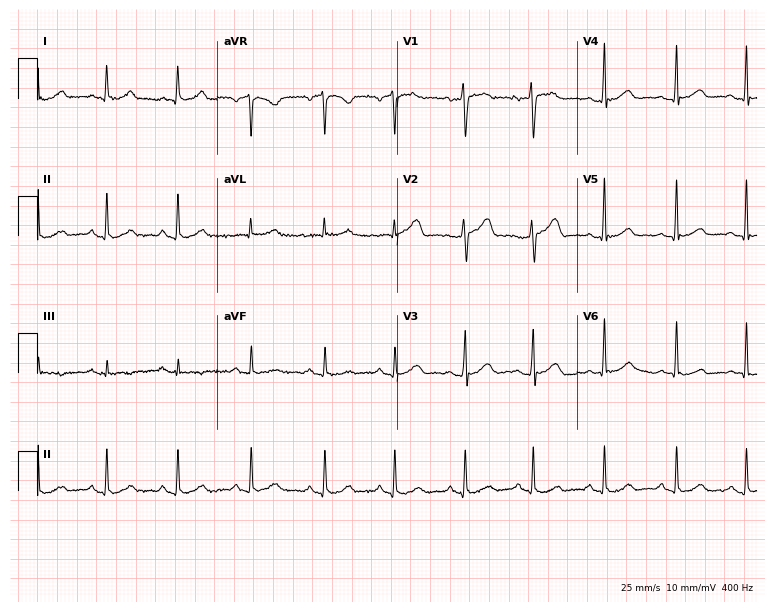
ECG (7.3-second recording at 400 Hz) — a female, 51 years old. Screened for six findings — first-degree AV block, right bundle branch block, left bundle branch block, sinus bradycardia, atrial fibrillation, sinus tachycardia — none is recorded.